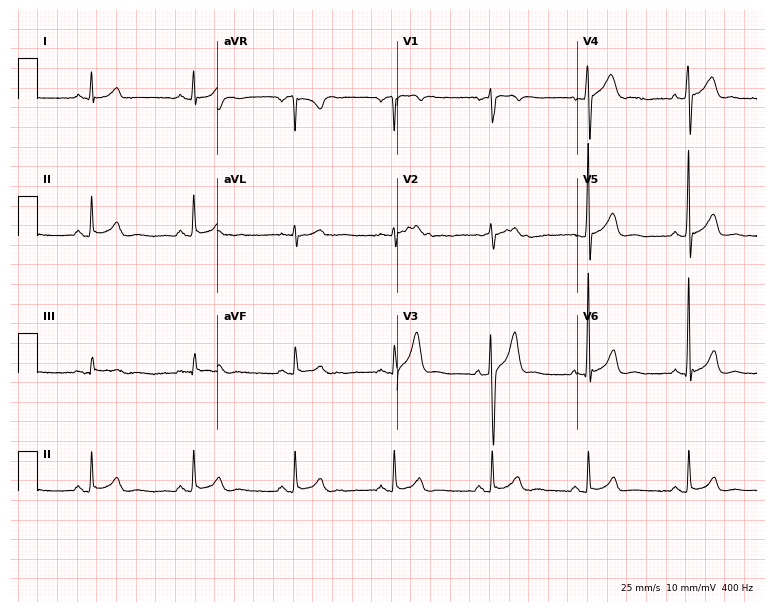
12-lead ECG from a male, 50 years old (7.3-second recording at 400 Hz). Recorded interpretation: within normal limits.